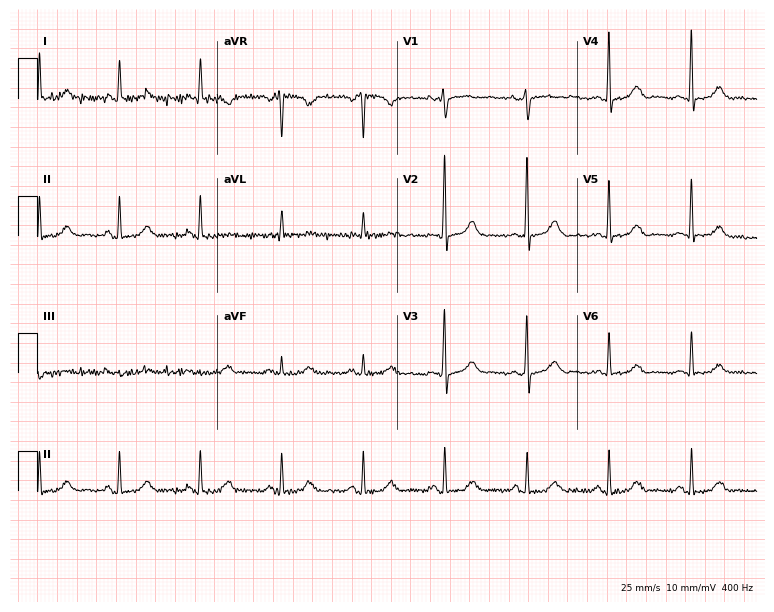
Electrocardiogram, a 77-year-old female. Of the six screened findings (first-degree AV block, right bundle branch block, left bundle branch block, sinus bradycardia, atrial fibrillation, sinus tachycardia), none is recorded. Other findings, if any, are not listed.